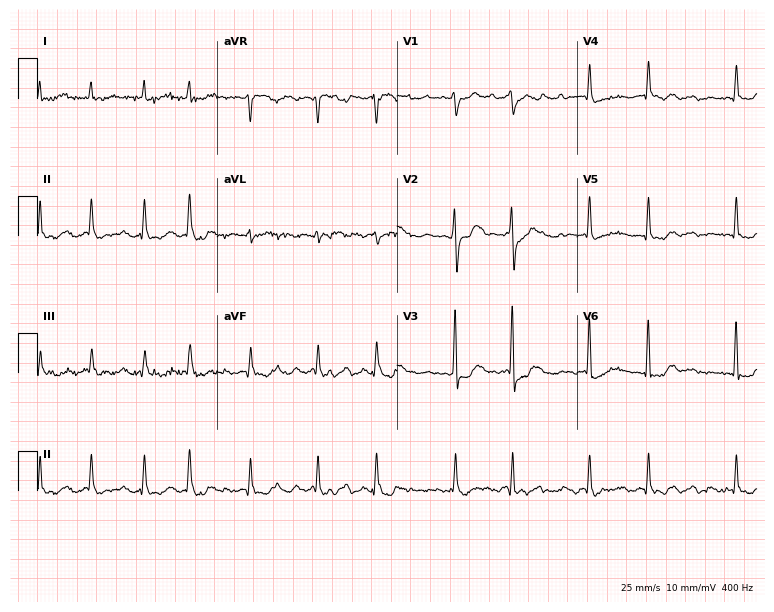
Resting 12-lead electrocardiogram (7.3-second recording at 400 Hz). Patient: a man, 81 years old. The tracing shows atrial fibrillation.